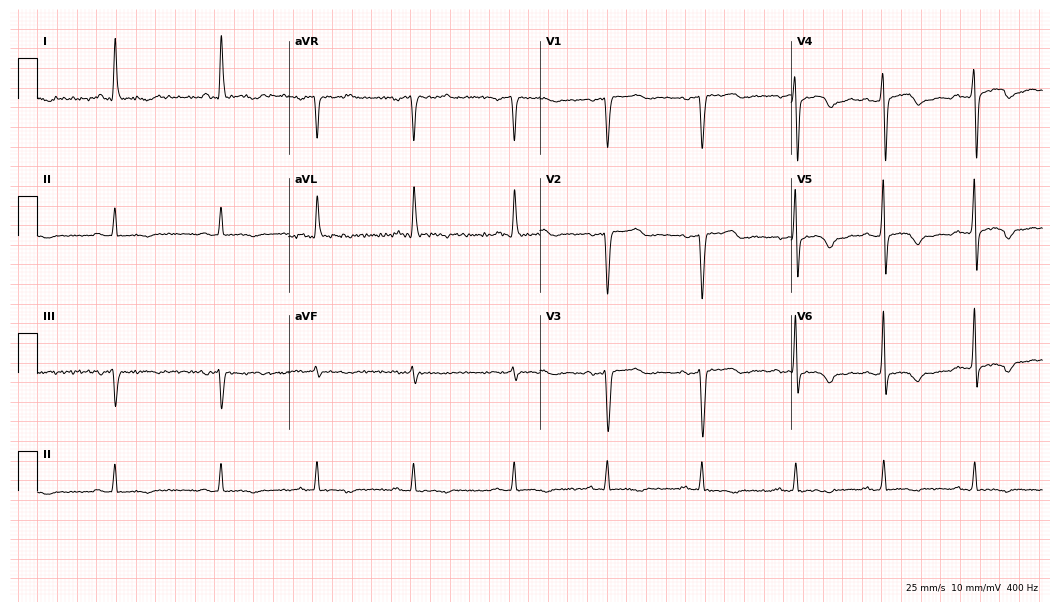
Resting 12-lead electrocardiogram (10.2-second recording at 400 Hz). Patient: a male, 44 years old. None of these six findings is recorded: first-degree AV block, right bundle branch block, left bundle branch block, sinus bradycardia, atrial fibrillation, sinus tachycardia.